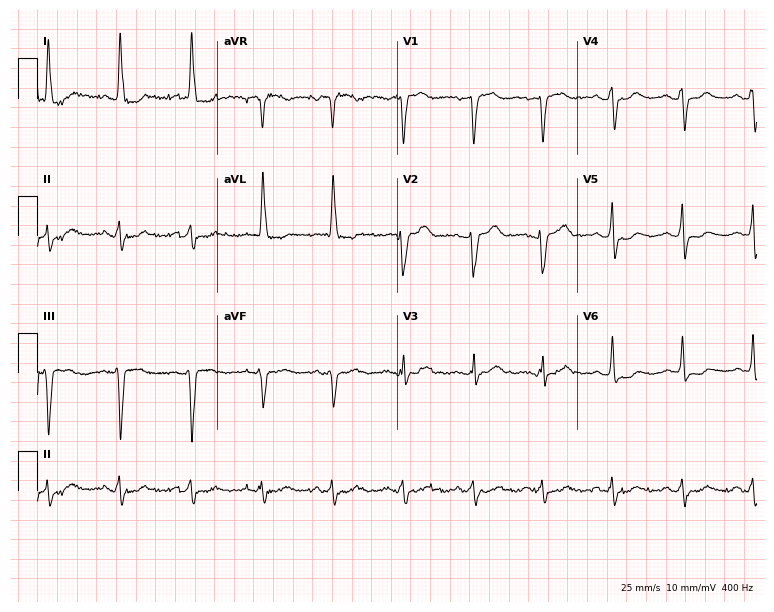
Standard 12-lead ECG recorded from a 69-year-old female (7.3-second recording at 400 Hz). None of these six findings is recorded: first-degree AV block, right bundle branch block, left bundle branch block, sinus bradycardia, atrial fibrillation, sinus tachycardia. Other findings, if any, are not listed.